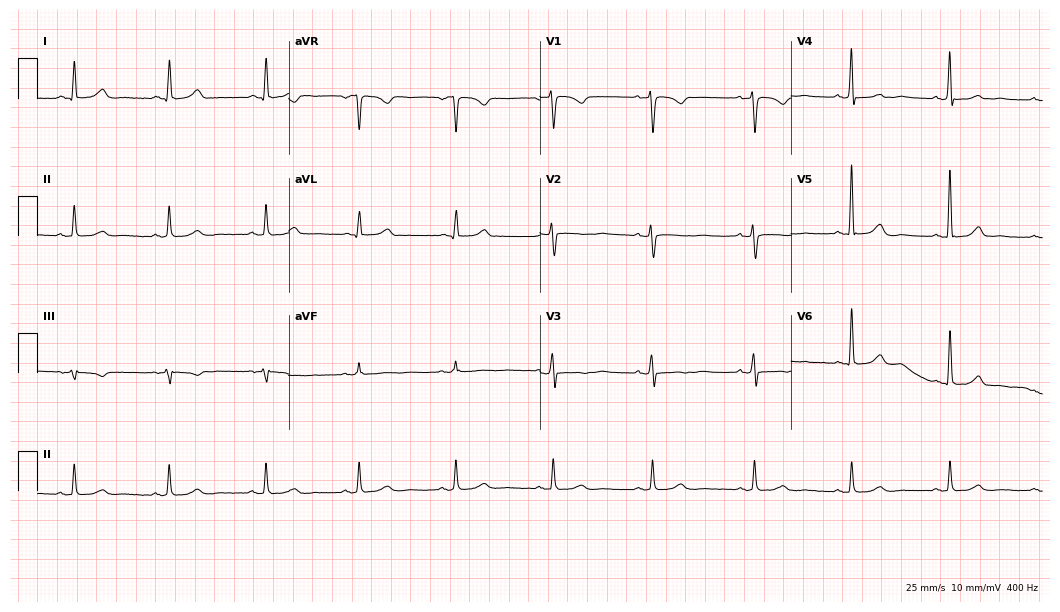
Standard 12-lead ECG recorded from a 49-year-old woman (10.2-second recording at 400 Hz). None of these six findings is recorded: first-degree AV block, right bundle branch block, left bundle branch block, sinus bradycardia, atrial fibrillation, sinus tachycardia.